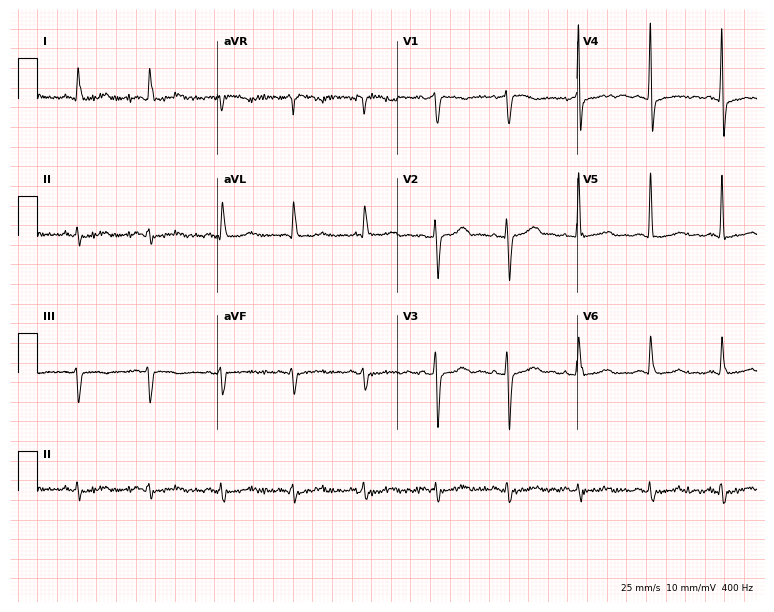
ECG — an 80-year-old male patient. Screened for six findings — first-degree AV block, right bundle branch block, left bundle branch block, sinus bradycardia, atrial fibrillation, sinus tachycardia — none is recorded.